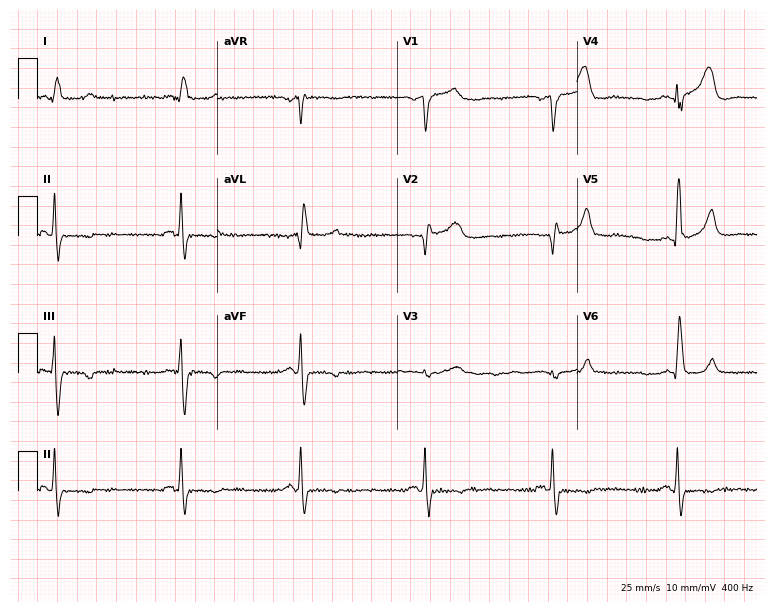
ECG — a 72-year-old male. Findings include right bundle branch block, left bundle branch block.